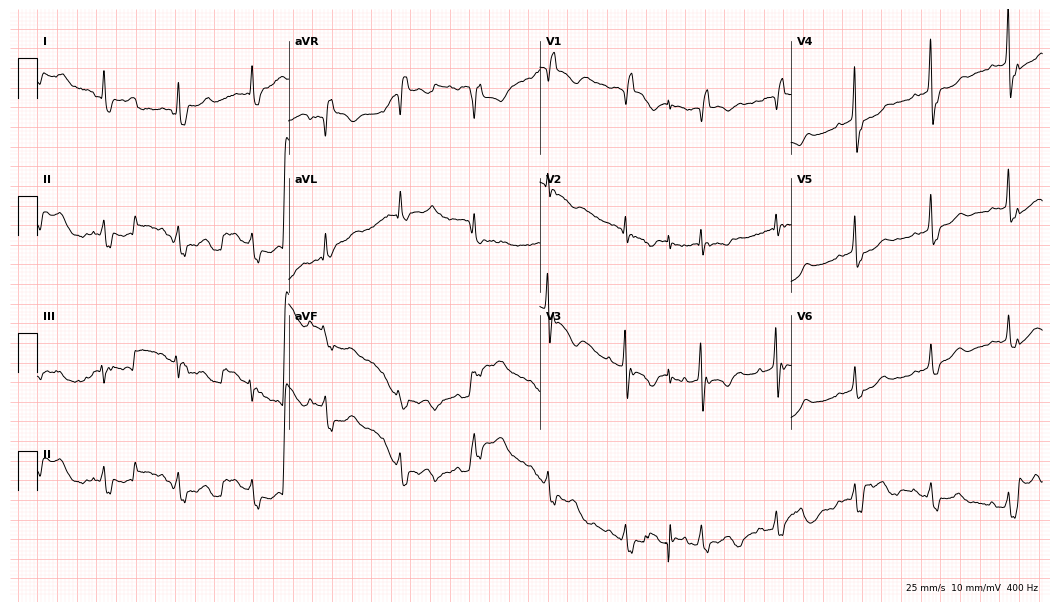
Resting 12-lead electrocardiogram. Patient: an 84-year-old woman. None of these six findings is recorded: first-degree AV block, right bundle branch block, left bundle branch block, sinus bradycardia, atrial fibrillation, sinus tachycardia.